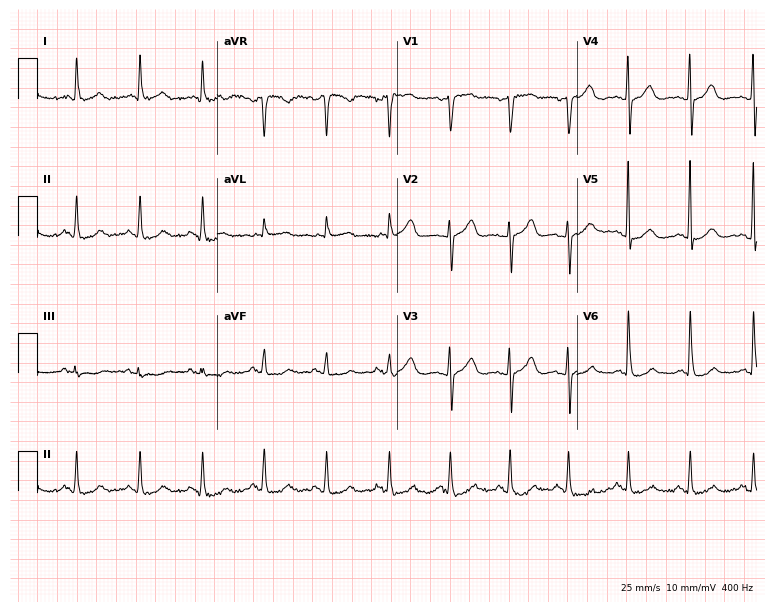
ECG (7.3-second recording at 400 Hz) — a woman, 70 years old. Labelled as a normal ECG.